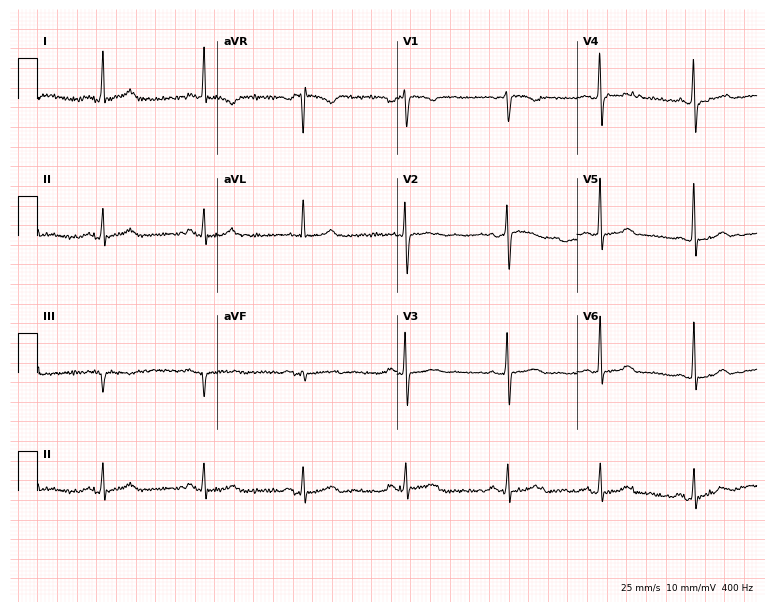
ECG — a 68-year-old female. Screened for six findings — first-degree AV block, right bundle branch block, left bundle branch block, sinus bradycardia, atrial fibrillation, sinus tachycardia — none is recorded. Other findings, if any, are not listed.